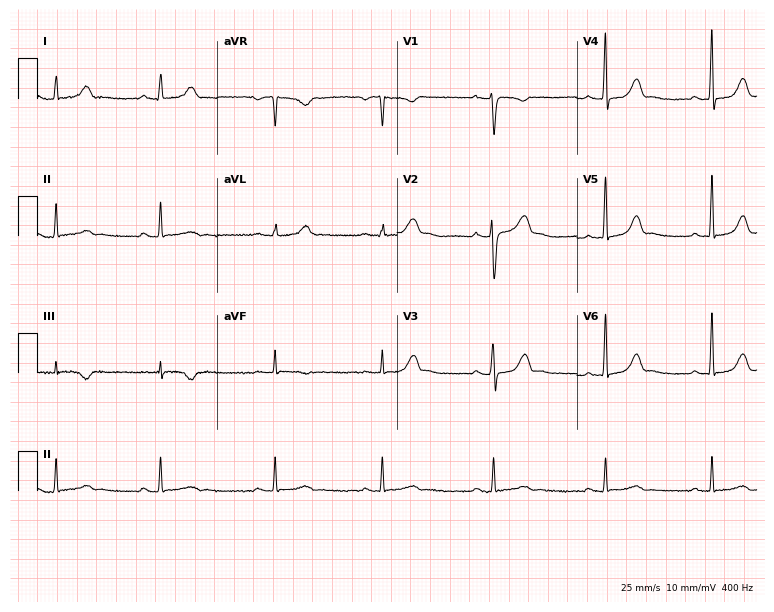
12-lead ECG from a woman, 40 years old. Screened for six findings — first-degree AV block, right bundle branch block (RBBB), left bundle branch block (LBBB), sinus bradycardia, atrial fibrillation (AF), sinus tachycardia — none is recorded. Only these six findings were labelled.